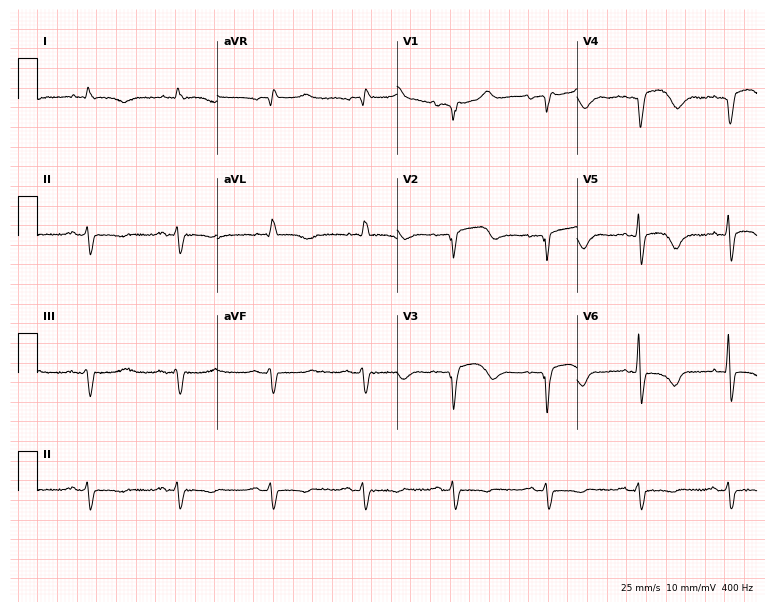
Standard 12-lead ECG recorded from a man, 78 years old (7.3-second recording at 400 Hz). None of these six findings is recorded: first-degree AV block, right bundle branch block (RBBB), left bundle branch block (LBBB), sinus bradycardia, atrial fibrillation (AF), sinus tachycardia. Other findings, if any, are not listed.